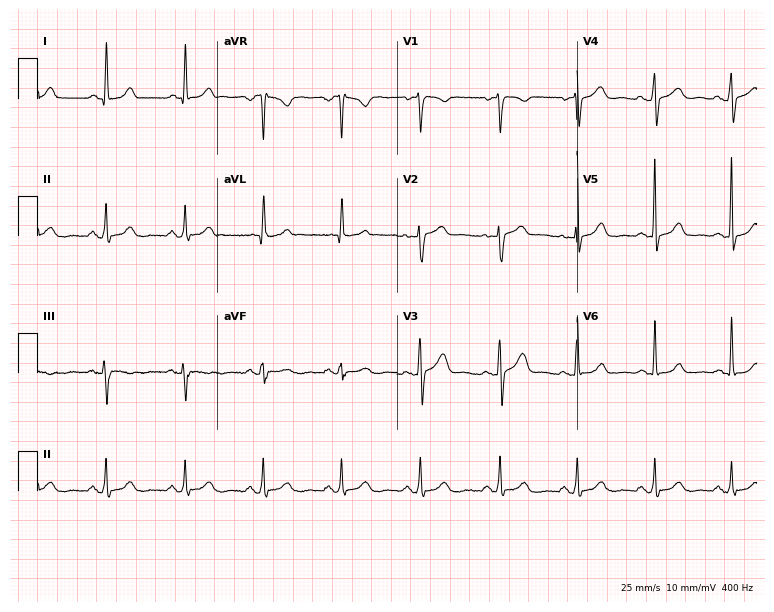
12-lead ECG from a female patient, 62 years old. Labelled as a normal ECG.